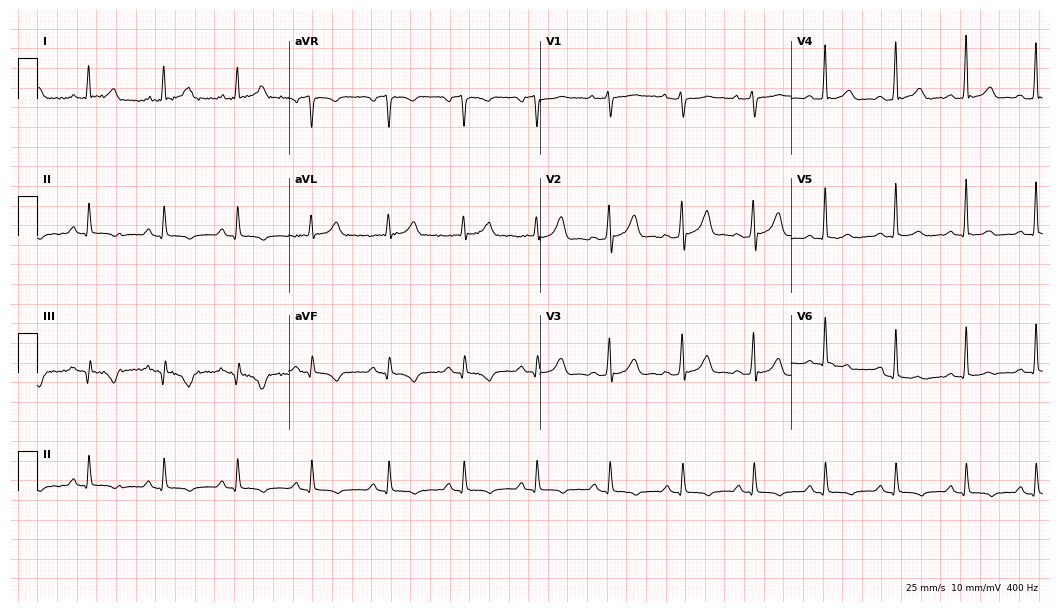
Resting 12-lead electrocardiogram. Patient: a 53-year-old woman. None of these six findings is recorded: first-degree AV block, right bundle branch block (RBBB), left bundle branch block (LBBB), sinus bradycardia, atrial fibrillation (AF), sinus tachycardia. Findings outside these six are not listed.